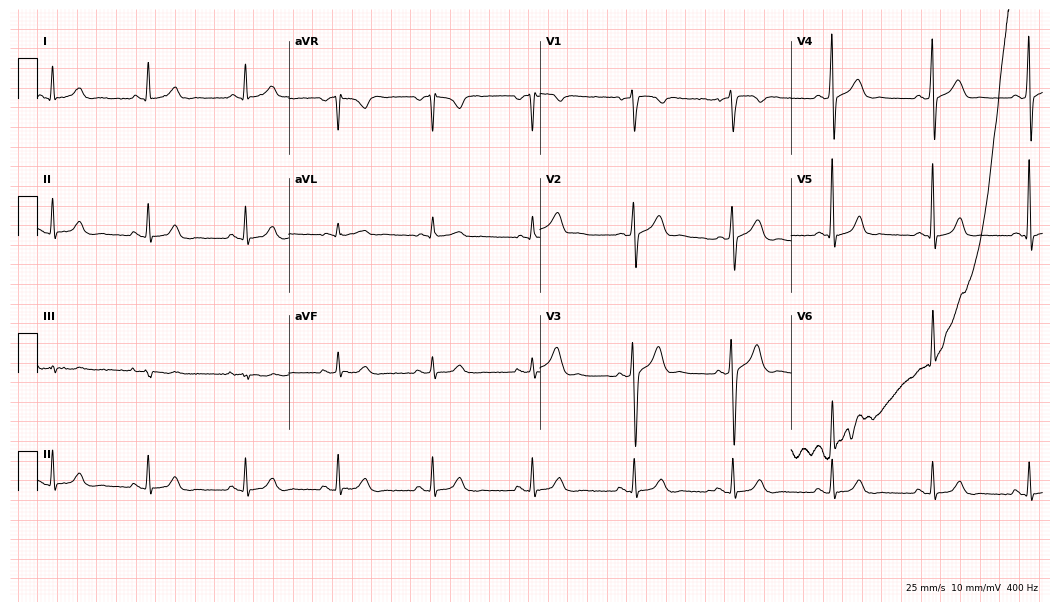
12-lead ECG from a 45-year-old male patient. Labelled as a normal ECG.